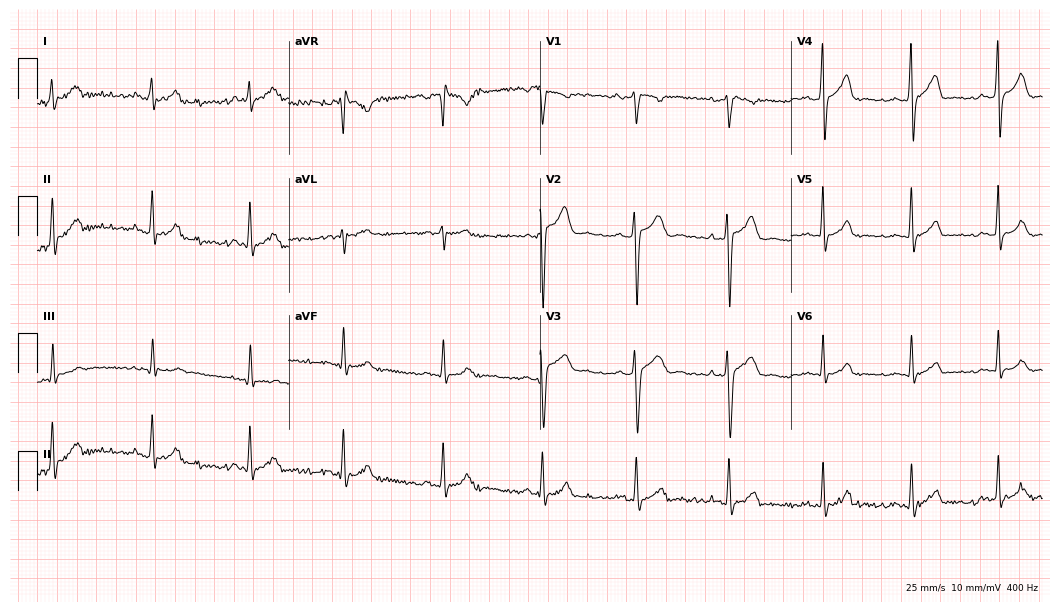
Standard 12-lead ECG recorded from a male patient, 24 years old (10.2-second recording at 400 Hz). None of these six findings is recorded: first-degree AV block, right bundle branch block (RBBB), left bundle branch block (LBBB), sinus bradycardia, atrial fibrillation (AF), sinus tachycardia. Findings outside these six are not listed.